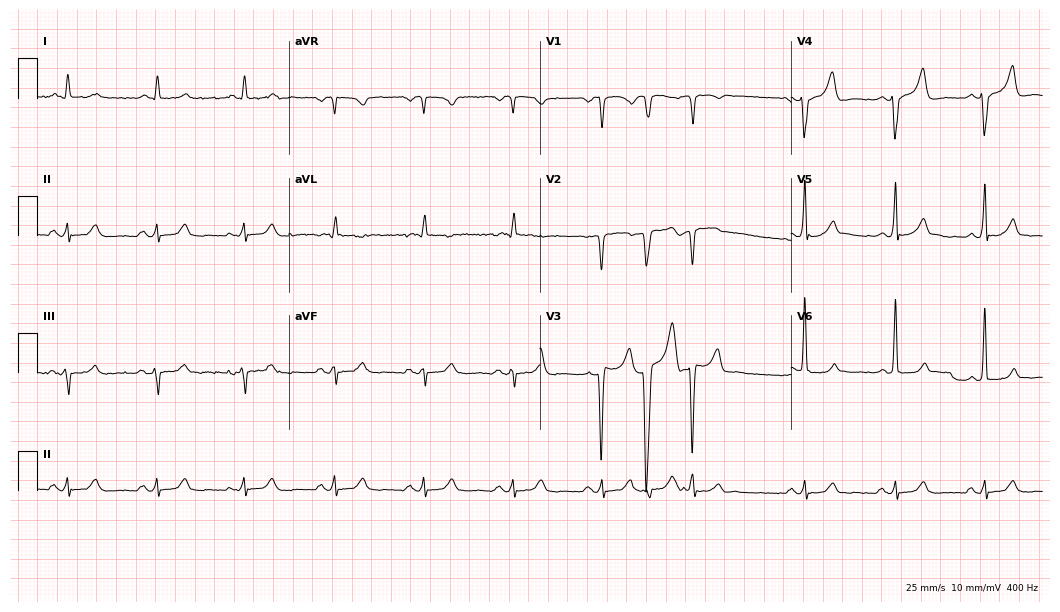
12-lead ECG from an 81-year-old female. No first-degree AV block, right bundle branch block, left bundle branch block, sinus bradycardia, atrial fibrillation or sinus tachycardia recorded for this tracing.